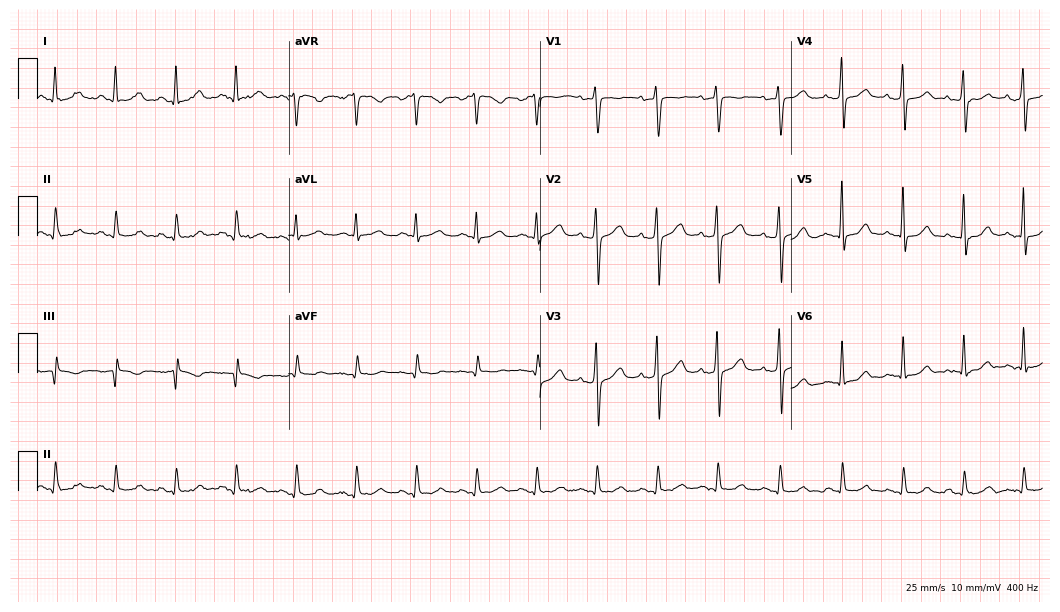
Standard 12-lead ECG recorded from a 39-year-old woman (10.2-second recording at 400 Hz). Read as a normal ECG.